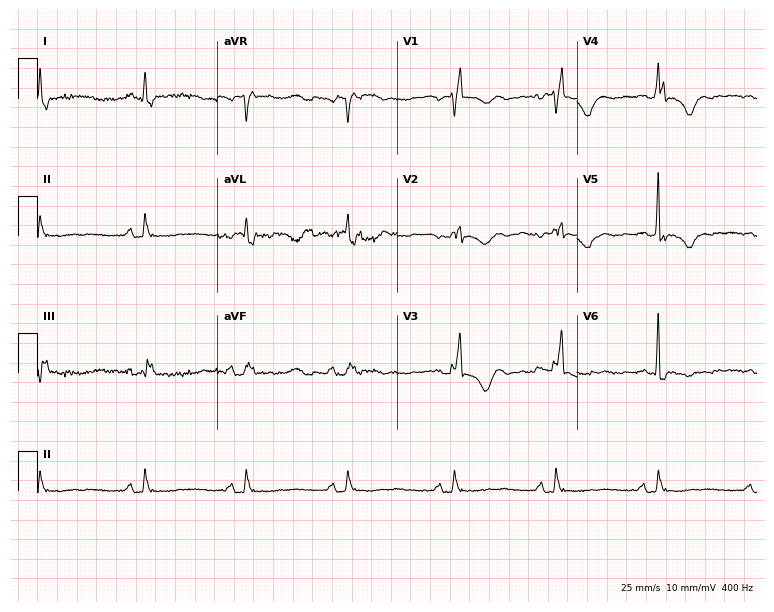
Resting 12-lead electrocardiogram. Patient: a female, 35 years old. None of these six findings is recorded: first-degree AV block, right bundle branch block (RBBB), left bundle branch block (LBBB), sinus bradycardia, atrial fibrillation (AF), sinus tachycardia. Only these six findings were labelled.